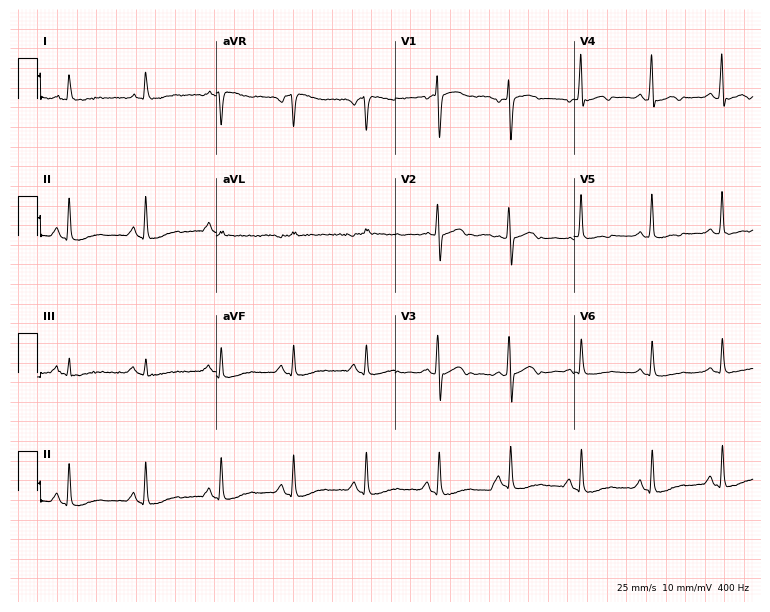
Standard 12-lead ECG recorded from a female patient, 81 years old. None of these six findings is recorded: first-degree AV block, right bundle branch block, left bundle branch block, sinus bradycardia, atrial fibrillation, sinus tachycardia.